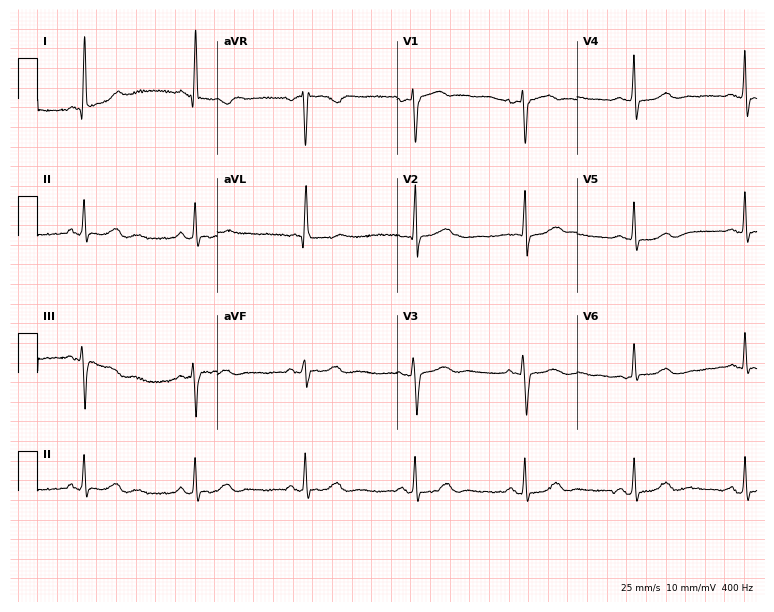
Resting 12-lead electrocardiogram (7.3-second recording at 400 Hz). Patient: a female, 65 years old. None of these six findings is recorded: first-degree AV block, right bundle branch block, left bundle branch block, sinus bradycardia, atrial fibrillation, sinus tachycardia. Only these six findings were labelled.